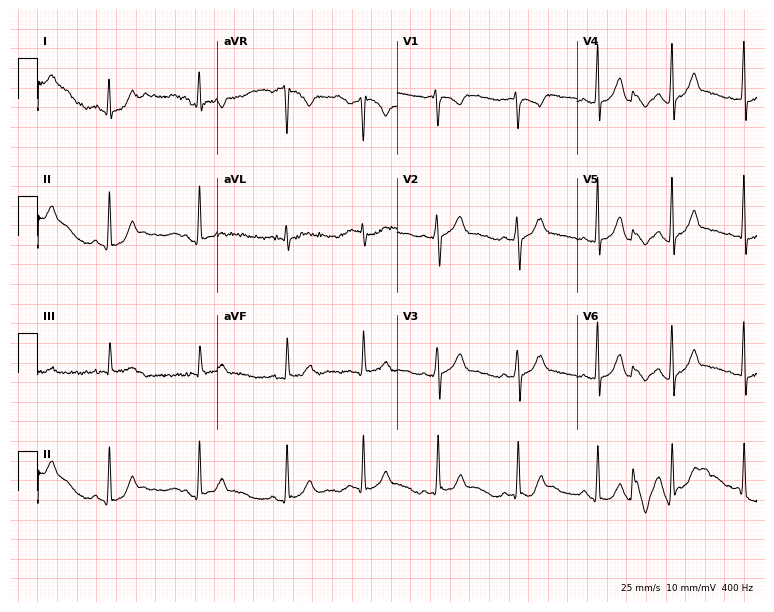
Electrocardiogram (7.3-second recording at 400 Hz), a 20-year-old female. Overall reading on record: normal ECG.